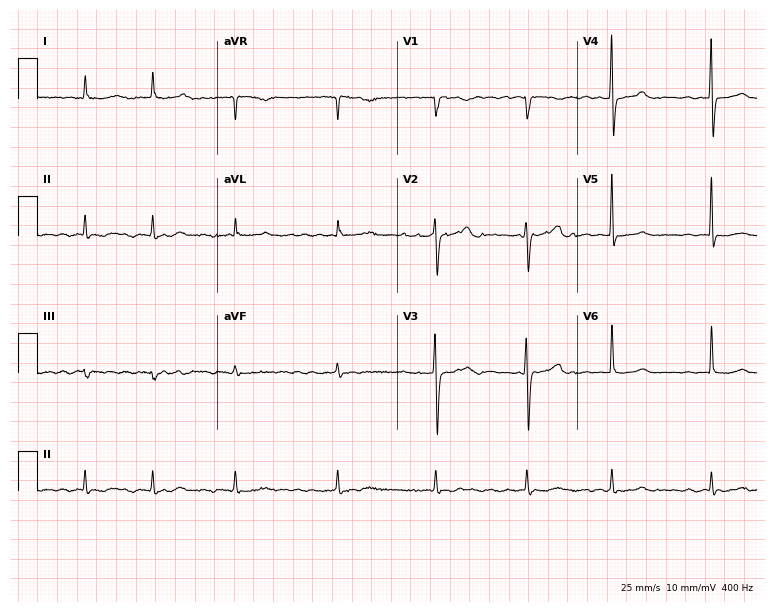
Resting 12-lead electrocardiogram (7.3-second recording at 400 Hz). Patient: a female, 77 years old. None of these six findings is recorded: first-degree AV block, right bundle branch block, left bundle branch block, sinus bradycardia, atrial fibrillation, sinus tachycardia.